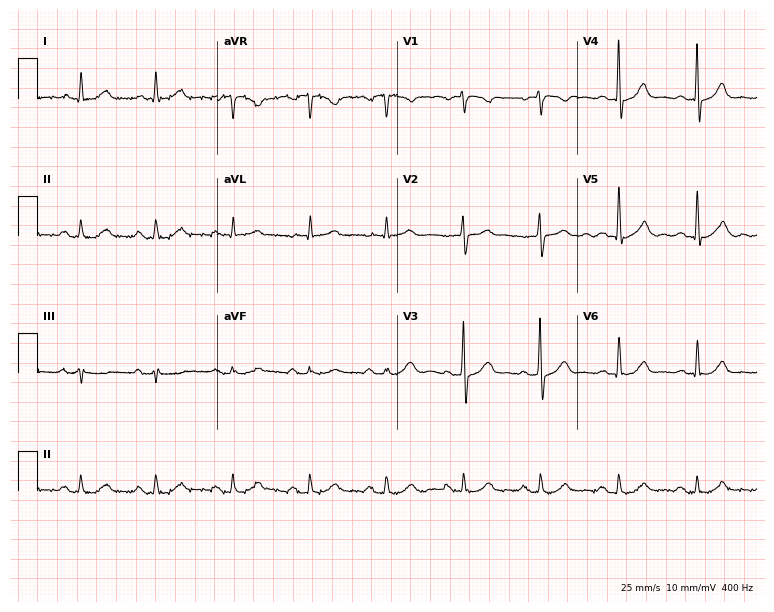
Resting 12-lead electrocardiogram. Patient: a male, 82 years old. Read as a normal ECG.